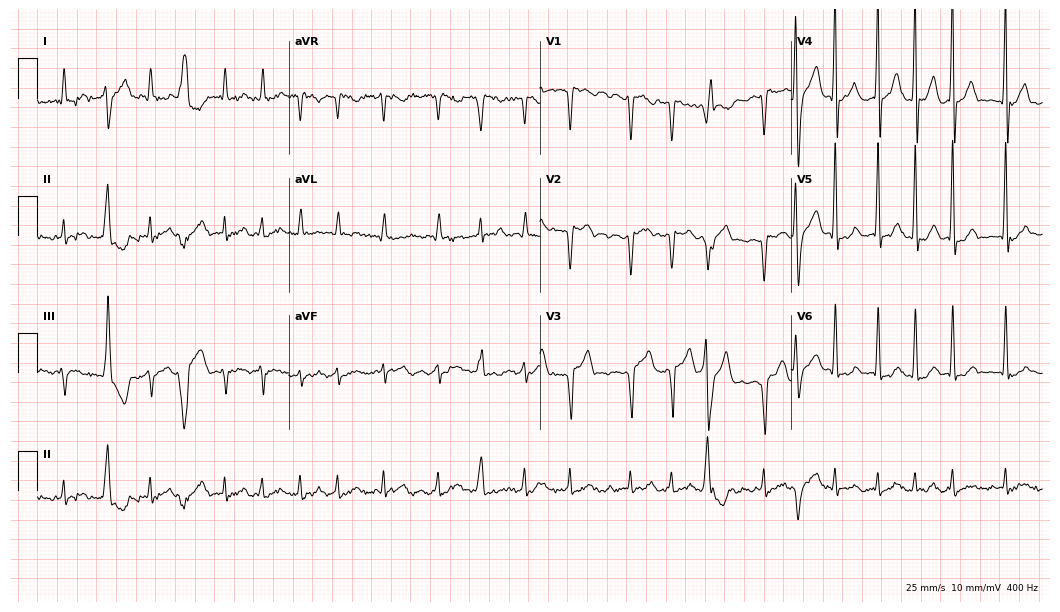
ECG — a 77-year-old male patient. Findings include atrial fibrillation, sinus tachycardia (a sinus rate of 100 beats per minute or more).